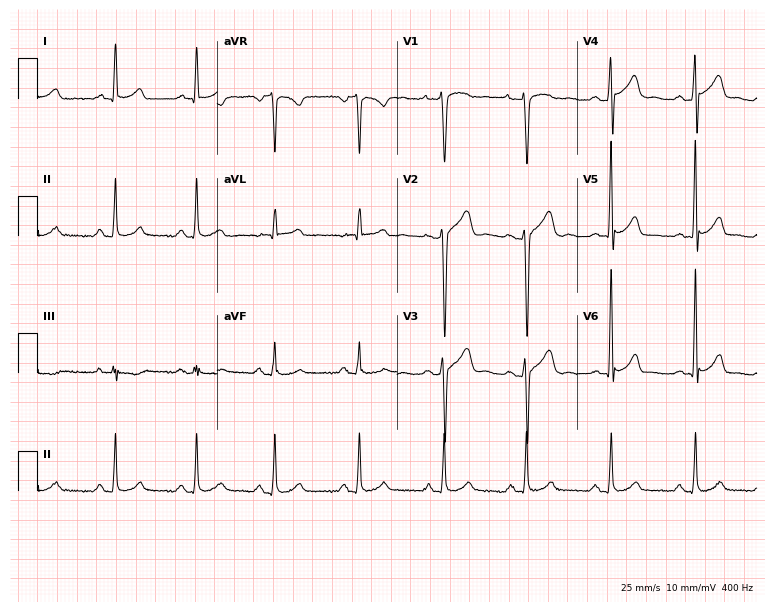
12-lead ECG from a male patient, 25 years old. No first-degree AV block, right bundle branch block, left bundle branch block, sinus bradycardia, atrial fibrillation or sinus tachycardia recorded for this tracing.